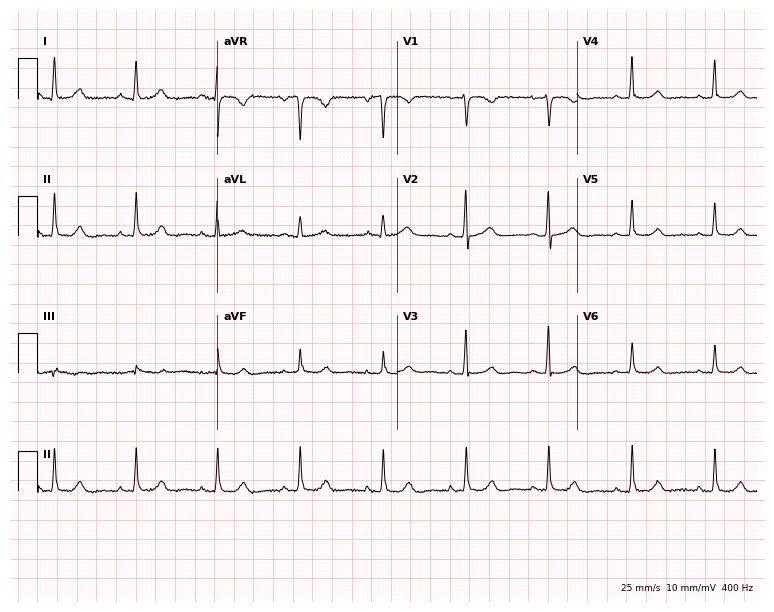
Resting 12-lead electrocardiogram (7.3-second recording at 400 Hz). Patient: a female, 53 years old. Read as a normal ECG.